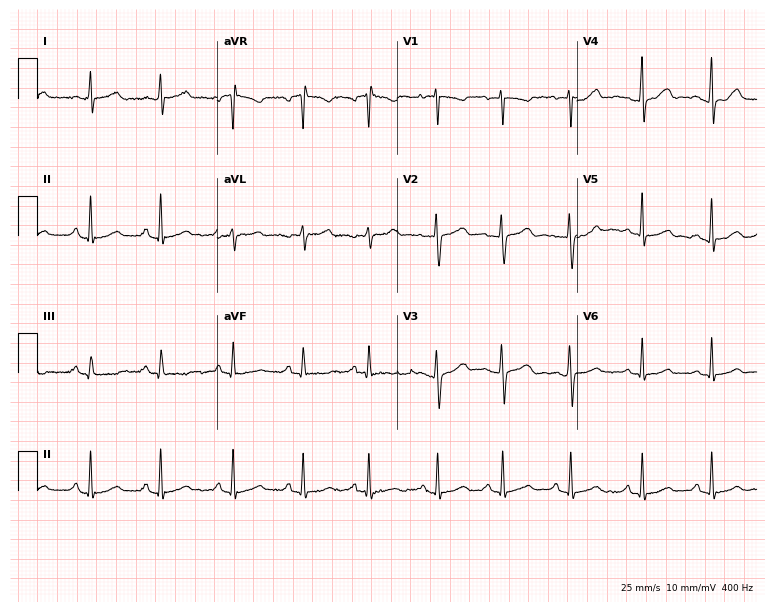
12-lead ECG from a female patient, 28 years old (7.3-second recording at 400 Hz). Recorded interpretation: within normal limits.